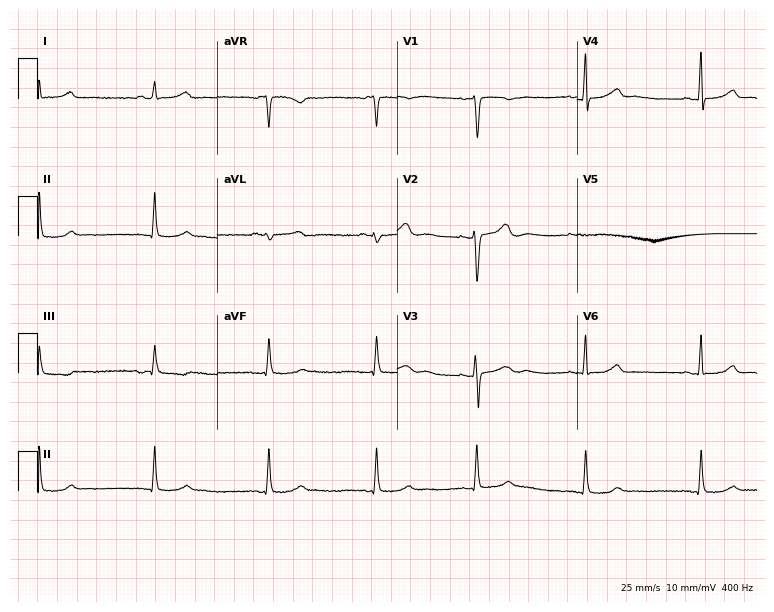
ECG — a 35-year-old female patient. Screened for six findings — first-degree AV block, right bundle branch block, left bundle branch block, sinus bradycardia, atrial fibrillation, sinus tachycardia — none is recorded. Findings outside these six are not listed.